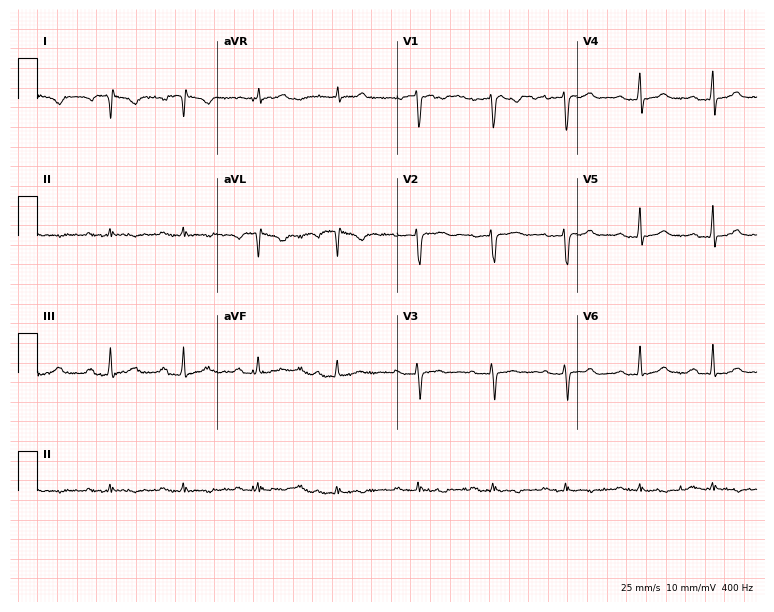
12-lead ECG from a 24-year-old female (7.3-second recording at 400 Hz). No first-degree AV block, right bundle branch block (RBBB), left bundle branch block (LBBB), sinus bradycardia, atrial fibrillation (AF) or sinus tachycardia recorded for this tracing.